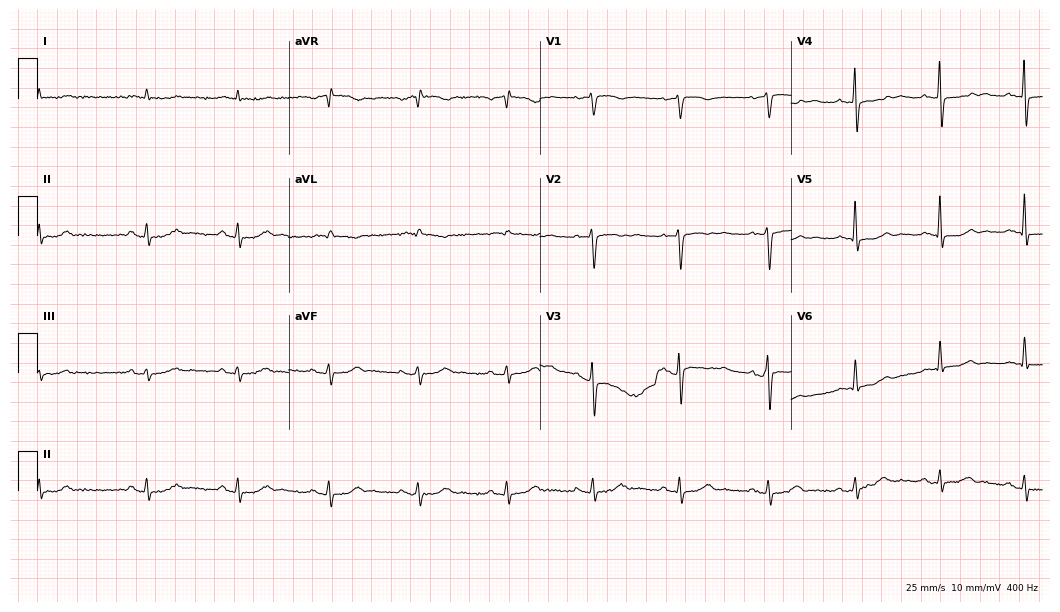
ECG (10.2-second recording at 400 Hz) — a 72-year-old man. Screened for six findings — first-degree AV block, right bundle branch block, left bundle branch block, sinus bradycardia, atrial fibrillation, sinus tachycardia — none is recorded.